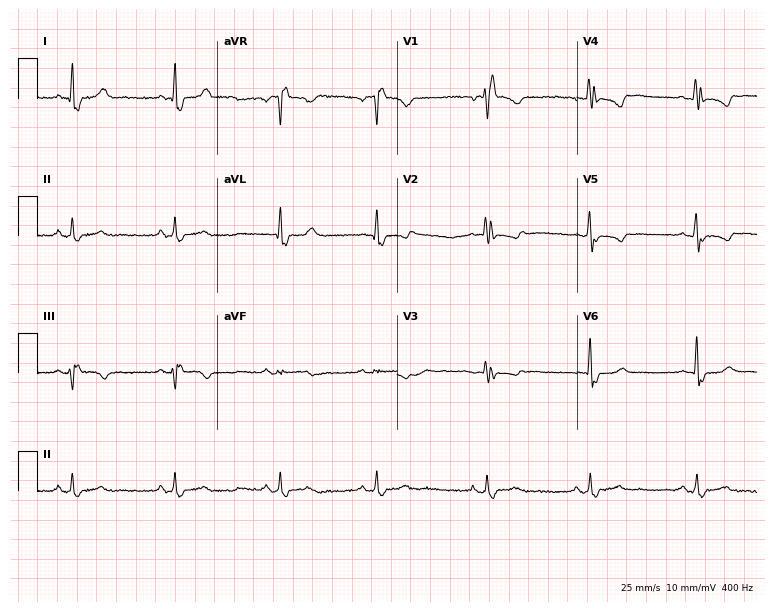
Electrocardiogram (7.3-second recording at 400 Hz), a female, 57 years old. Interpretation includes right bundle branch block (RBBB).